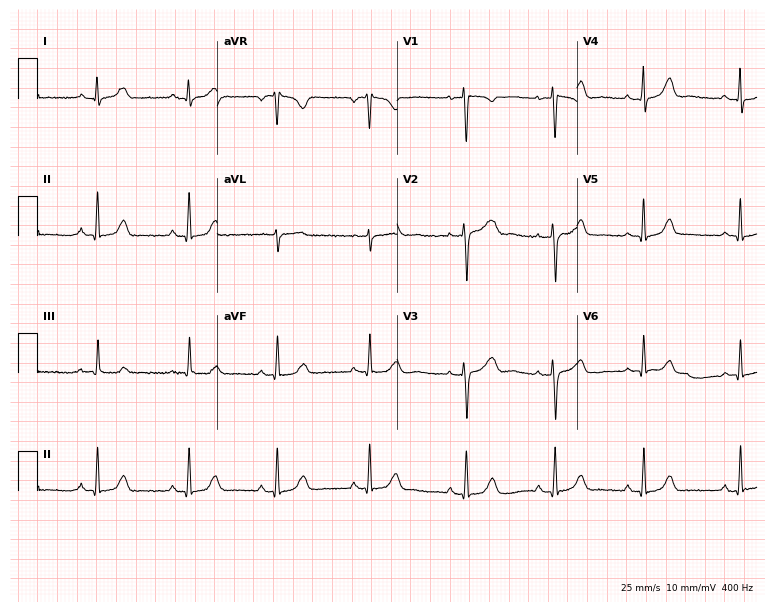
Electrocardiogram (7.3-second recording at 400 Hz), a woman, 42 years old. Of the six screened findings (first-degree AV block, right bundle branch block, left bundle branch block, sinus bradycardia, atrial fibrillation, sinus tachycardia), none is recorded.